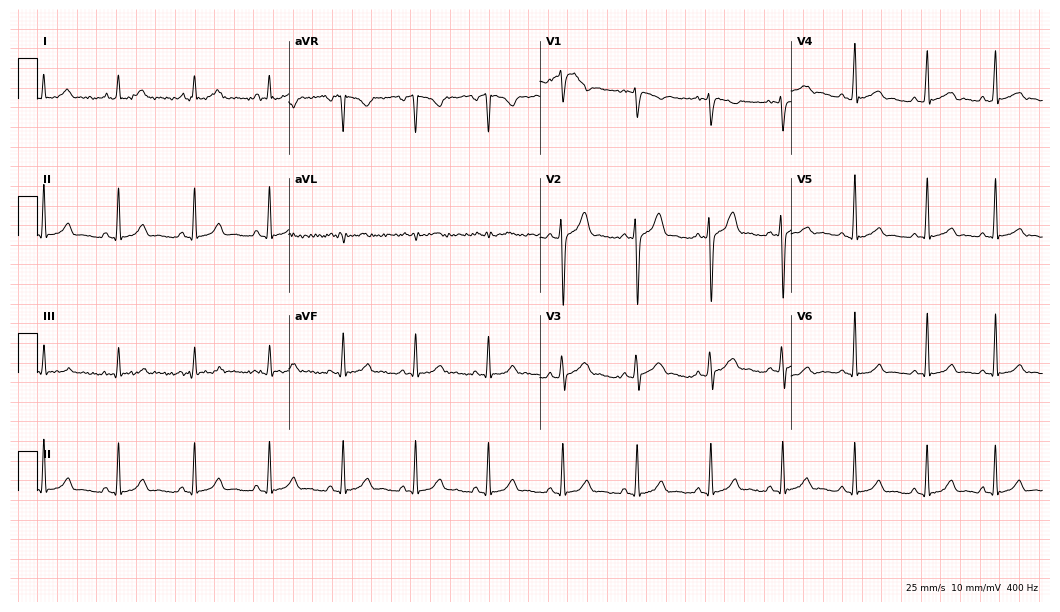
12-lead ECG from a male, 27 years old. Recorded interpretation: within normal limits.